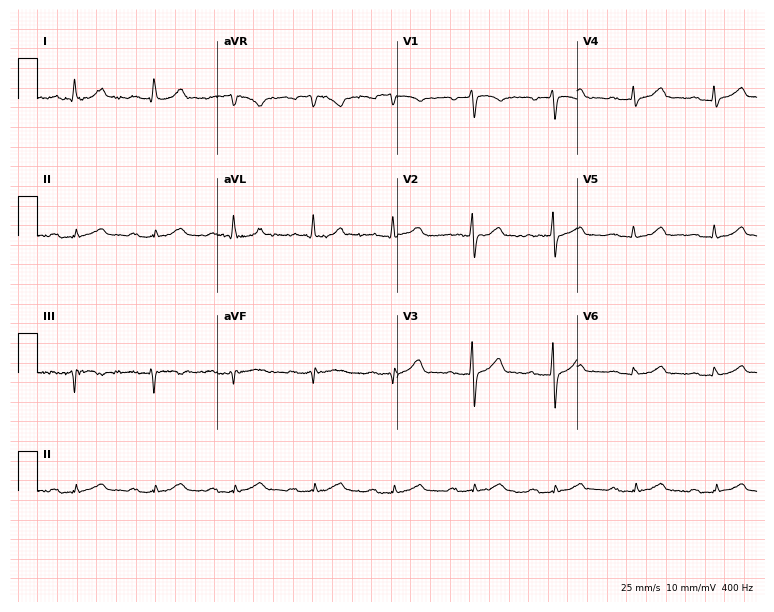
ECG (7.3-second recording at 400 Hz) — a male patient, 68 years old. Labelled as a normal ECG.